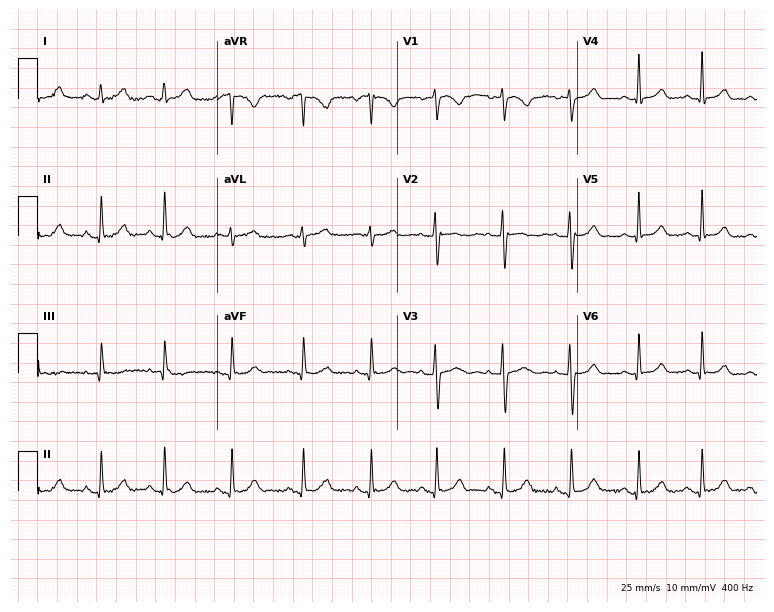
ECG — a 23-year-old female. Labelled as a normal ECG.